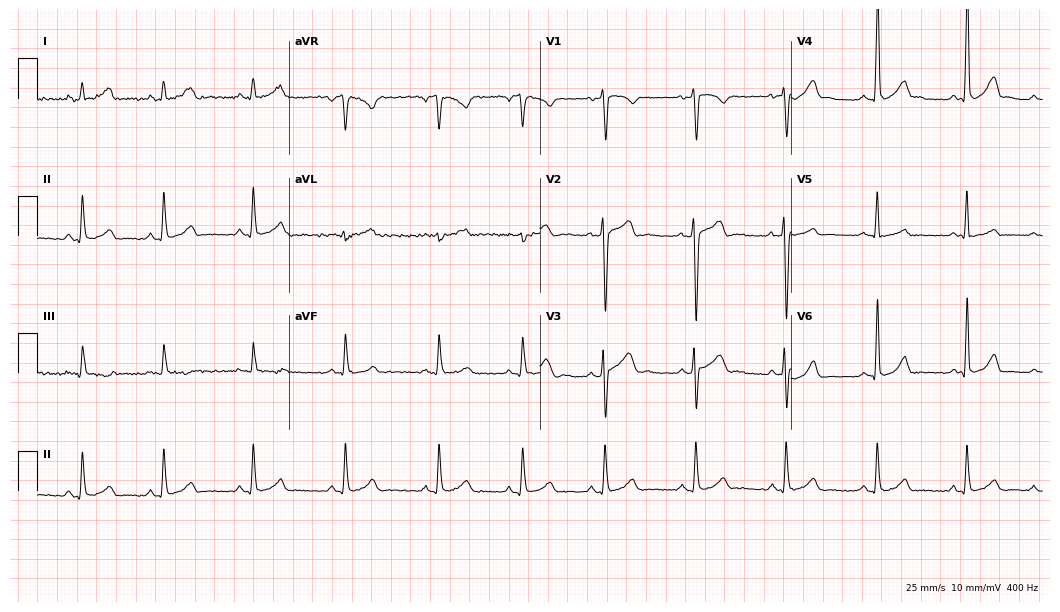
12-lead ECG from a 17-year-old man. No first-degree AV block, right bundle branch block, left bundle branch block, sinus bradycardia, atrial fibrillation or sinus tachycardia recorded for this tracing.